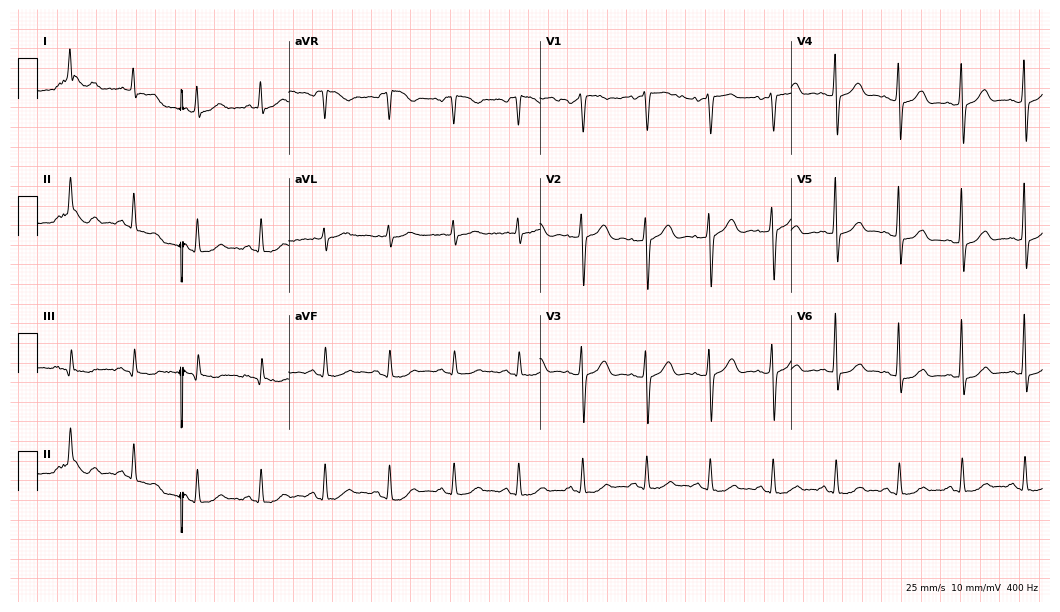
Resting 12-lead electrocardiogram (10.2-second recording at 400 Hz). Patient: a man, 67 years old. Read as a normal ECG.